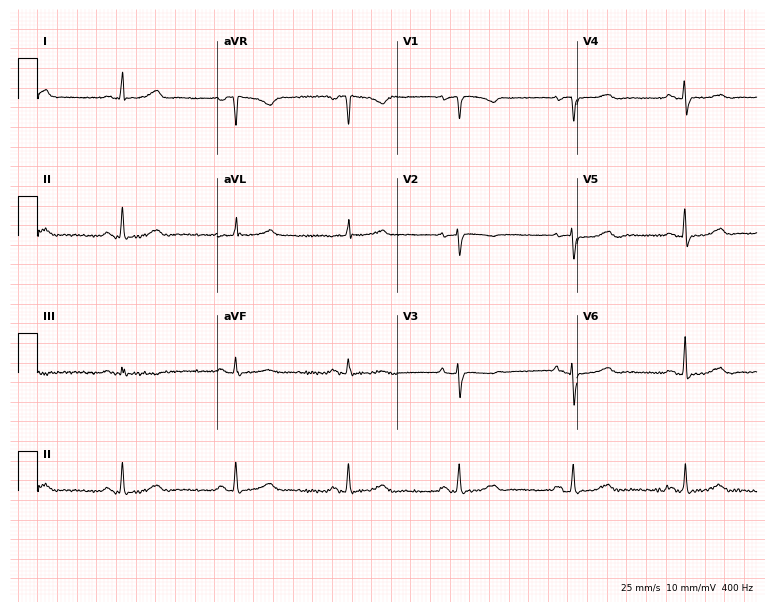
ECG — a 78-year-old female. Screened for six findings — first-degree AV block, right bundle branch block (RBBB), left bundle branch block (LBBB), sinus bradycardia, atrial fibrillation (AF), sinus tachycardia — none is recorded. Only these six findings were labelled.